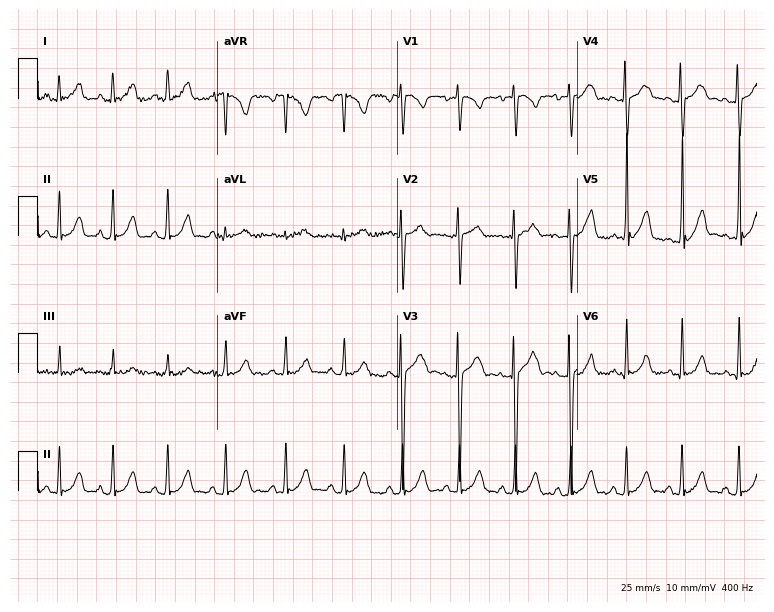
12-lead ECG from an 18-year-old woman. Shows sinus tachycardia (a sinus rate of 100 beats per minute or more).